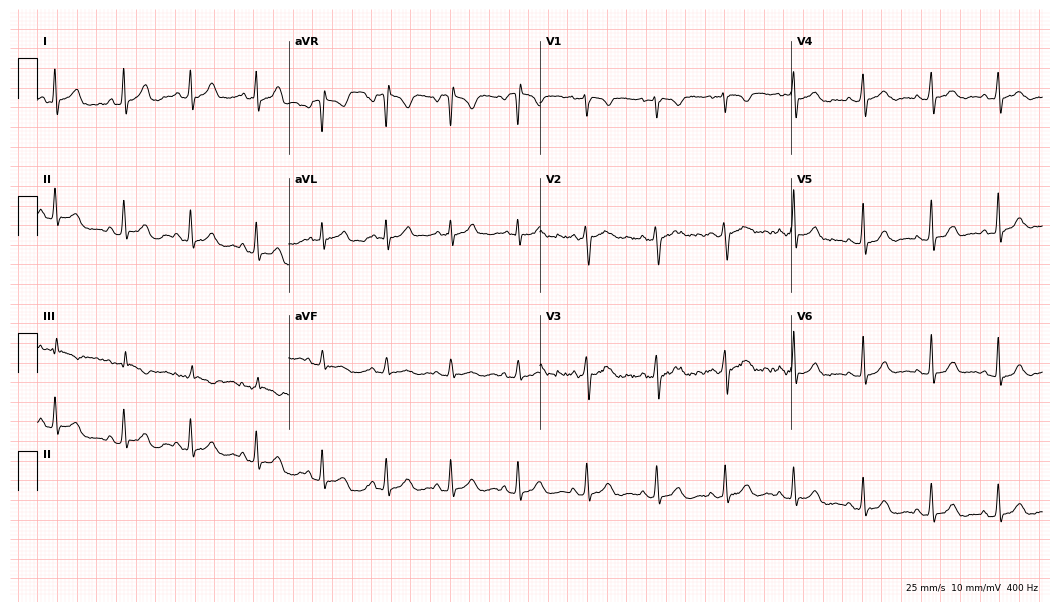
12-lead ECG from a female, 31 years old. Labelled as a normal ECG.